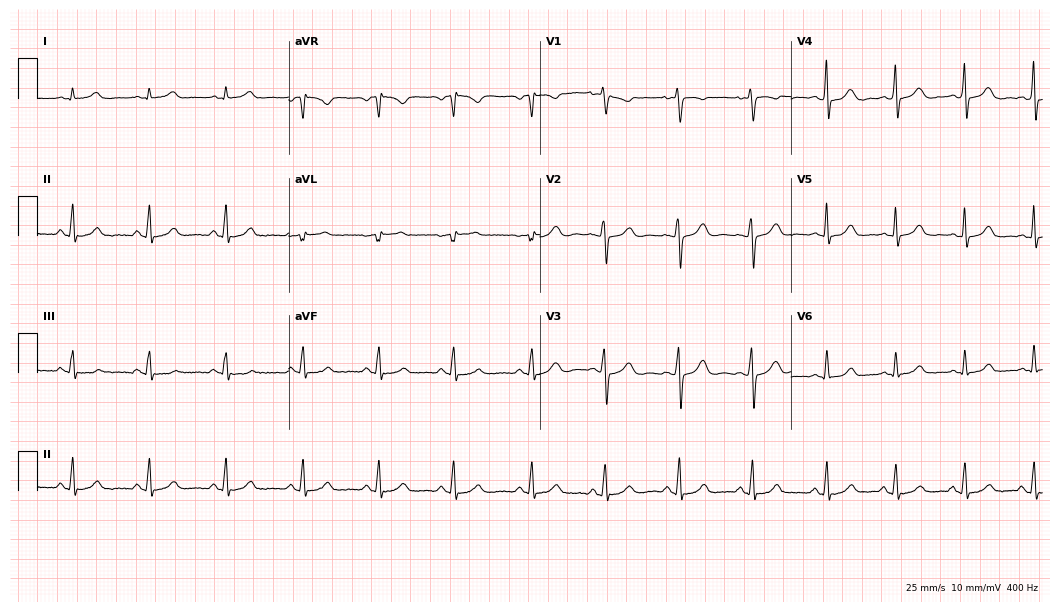
Standard 12-lead ECG recorded from a 34-year-old woman (10.2-second recording at 400 Hz). None of these six findings is recorded: first-degree AV block, right bundle branch block, left bundle branch block, sinus bradycardia, atrial fibrillation, sinus tachycardia.